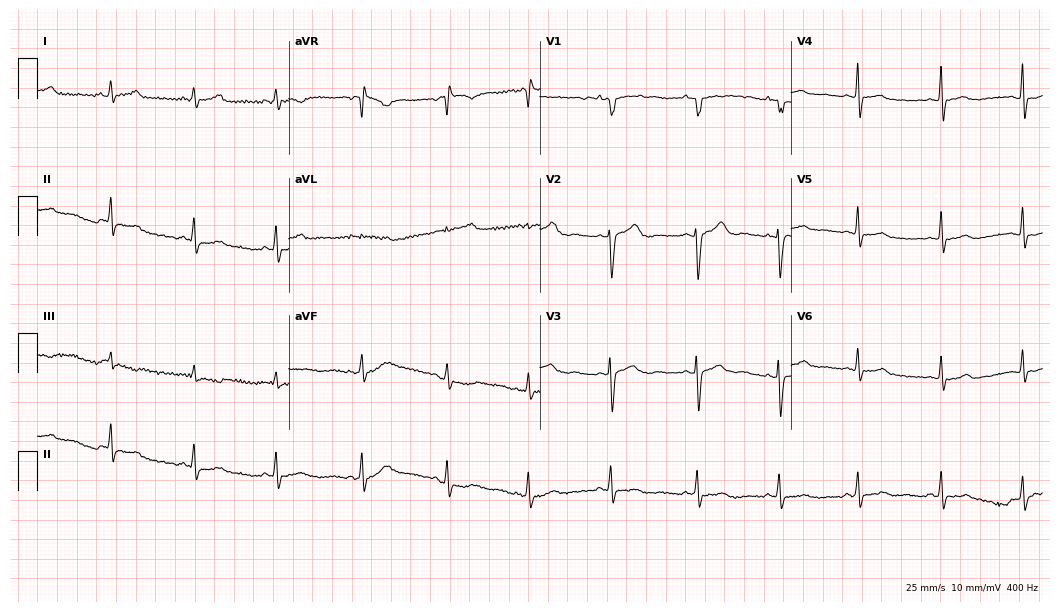
ECG (10.2-second recording at 400 Hz) — a female, 19 years old. Screened for six findings — first-degree AV block, right bundle branch block, left bundle branch block, sinus bradycardia, atrial fibrillation, sinus tachycardia — none is recorded. Only these six findings were labelled.